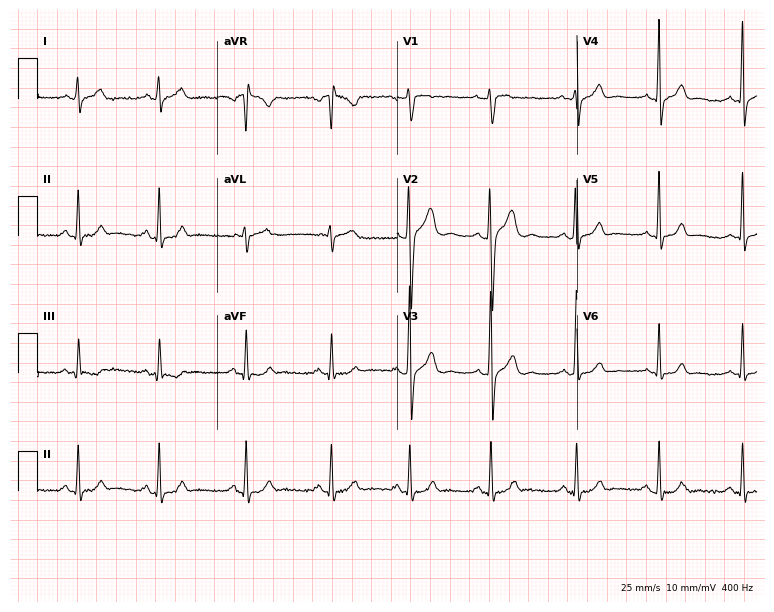
12-lead ECG (7.3-second recording at 400 Hz) from a 25-year-old man. Labelled as a normal ECG.